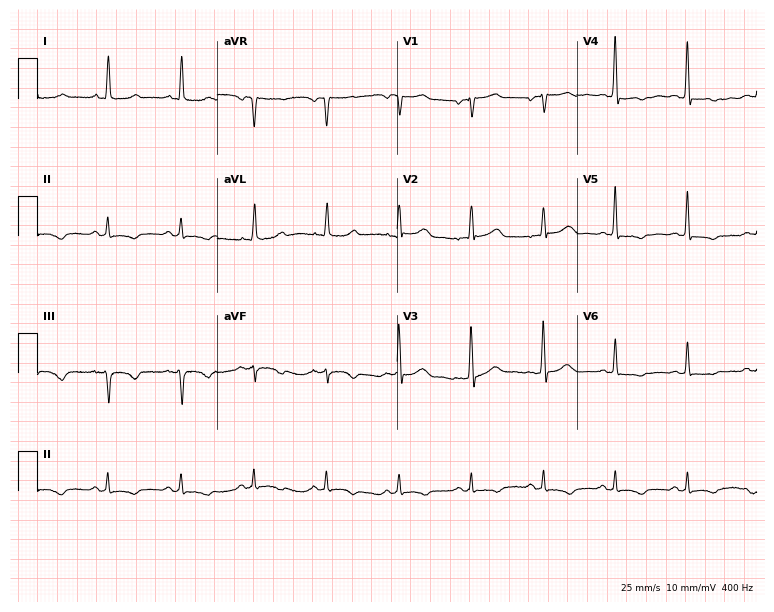
12-lead ECG from a male, 77 years old (7.3-second recording at 400 Hz). No first-degree AV block, right bundle branch block (RBBB), left bundle branch block (LBBB), sinus bradycardia, atrial fibrillation (AF) or sinus tachycardia recorded for this tracing.